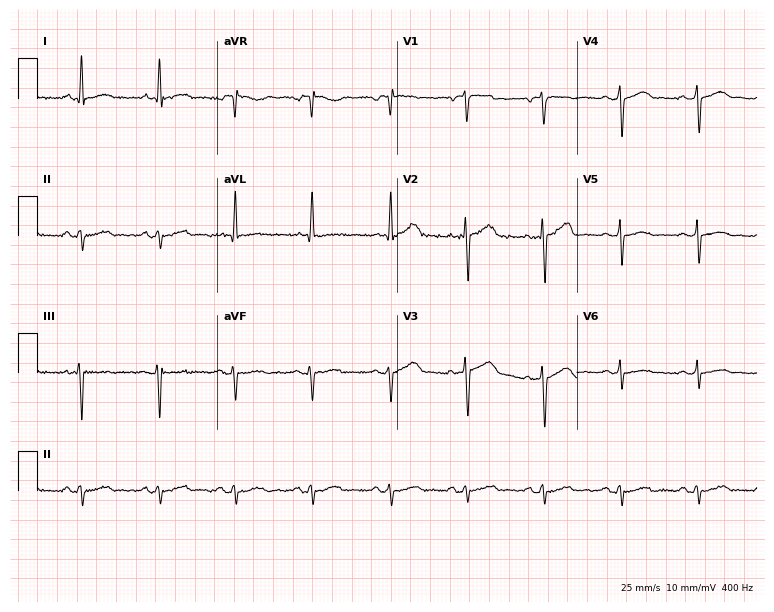
ECG (7.3-second recording at 400 Hz) — a 71-year-old male patient. Screened for six findings — first-degree AV block, right bundle branch block (RBBB), left bundle branch block (LBBB), sinus bradycardia, atrial fibrillation (AF), sinus tachycardia — none is recorded. Other findings, if any, are not listed.